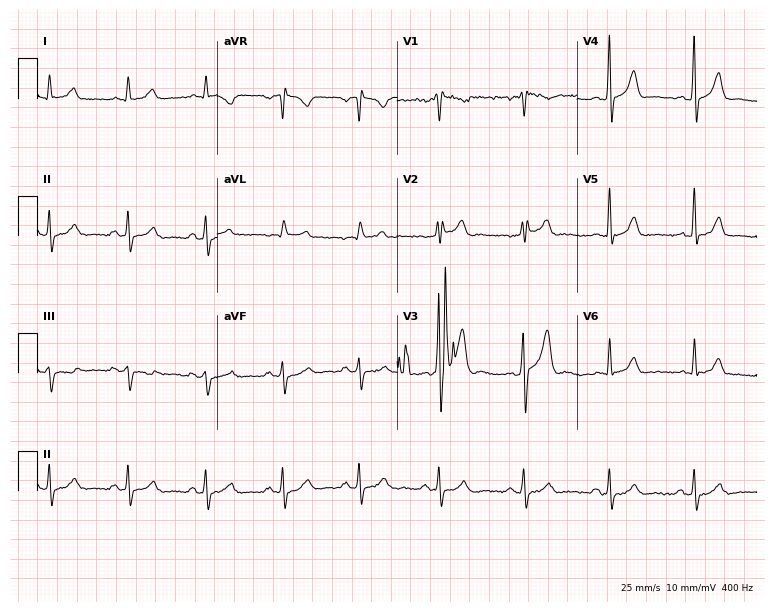
Electrocardiogram (7.3-second recording at 400 Hz), a male, 46 years old. Of the six screened findings (first-degree AV block, right bundle branch block, left bundle branch block, sinus bradycardia, atrial fibrillation, sinus tachycardia), none is recorded.